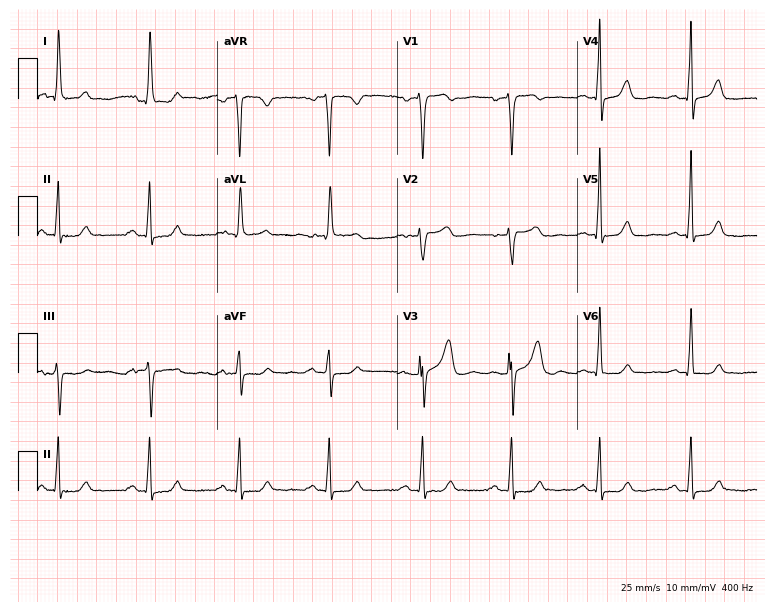
Standard 12-lead ECG recorded from a female patient, 76 years old. Read as a normal ECG.